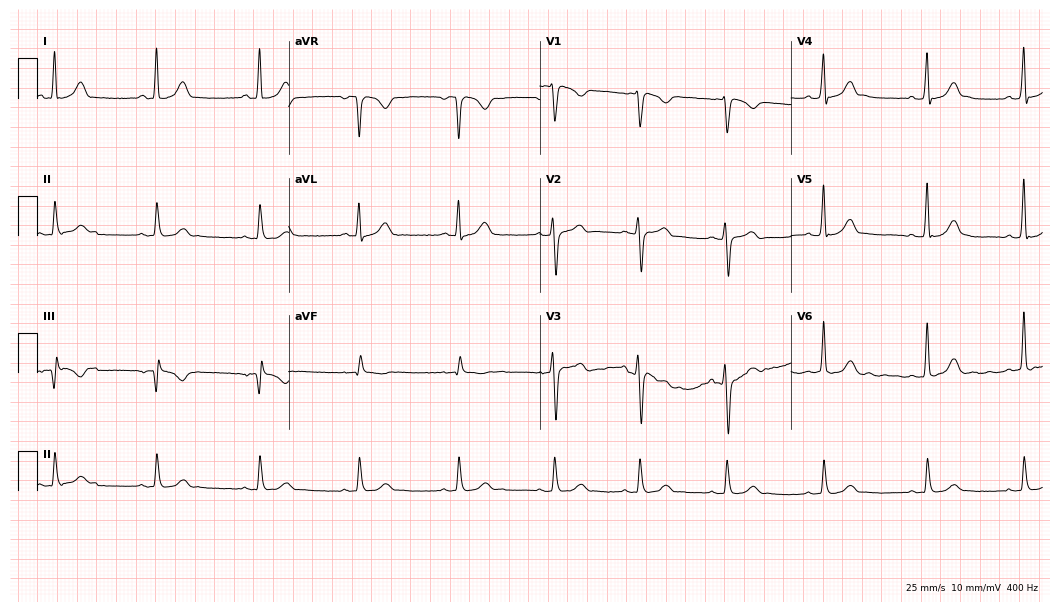
Electrocardiogram (10.2-second recording at 400 Hz), a man, 36 years old. Overall reading on record: normal ECG.